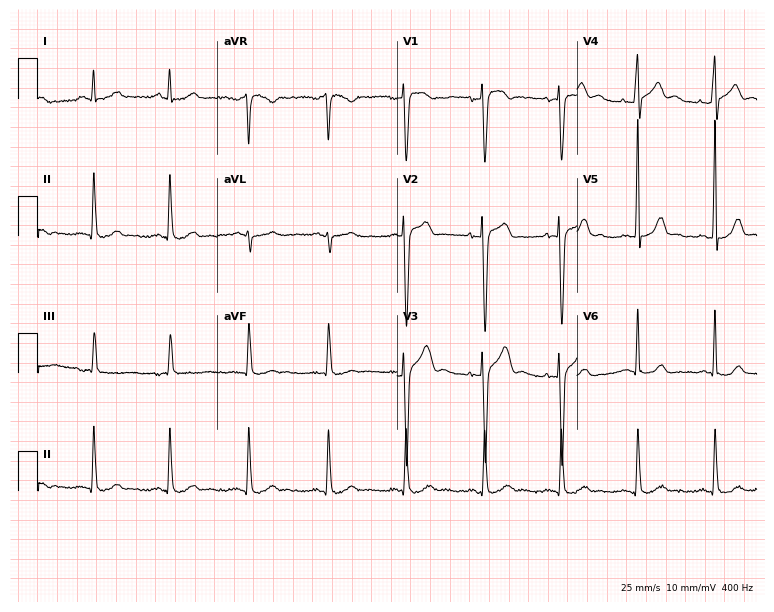
12-lead ECG (7.3-second recording at 400 Hz) from a 44-year-old male patient. Labelled as a normal ECG.